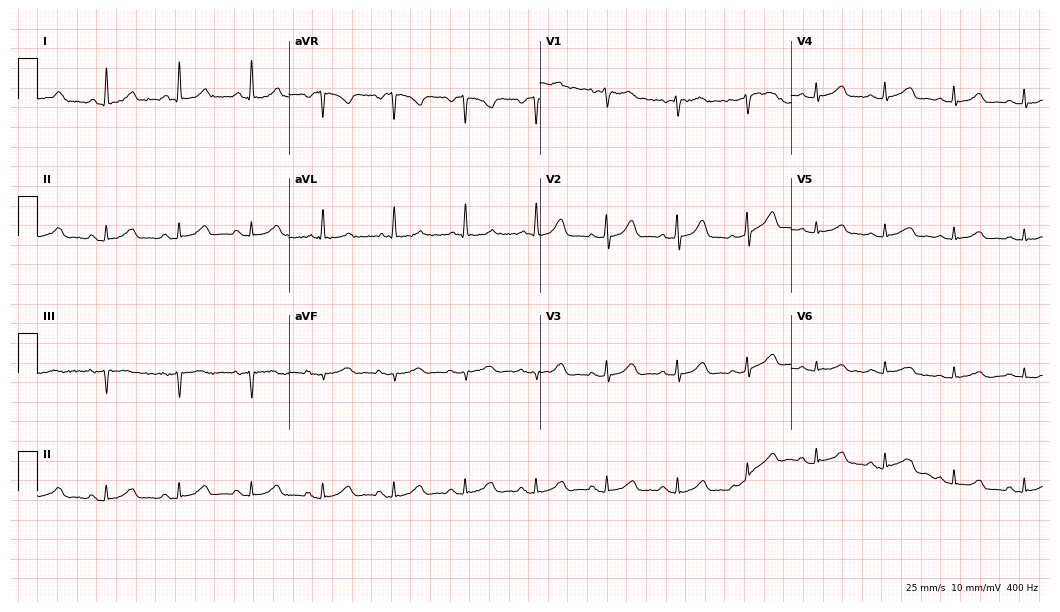
12-lead ECG from a 75-year-old female. Labelled as a normal ECG.